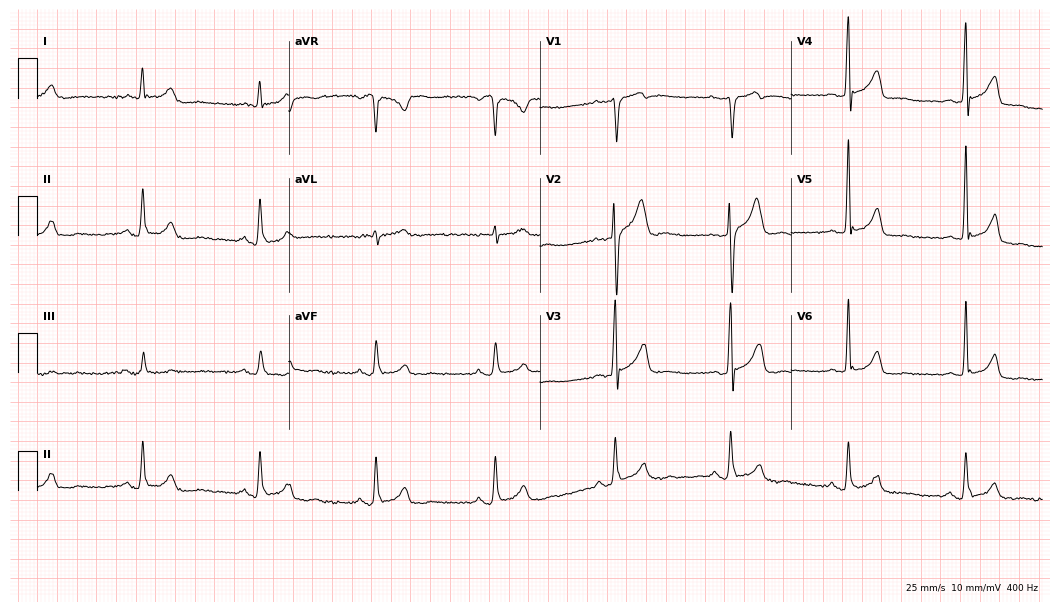
12-lead ECG (10.2-second recording at 400 Hz) from a male, 41 years old. Labelled as a normal ECG.